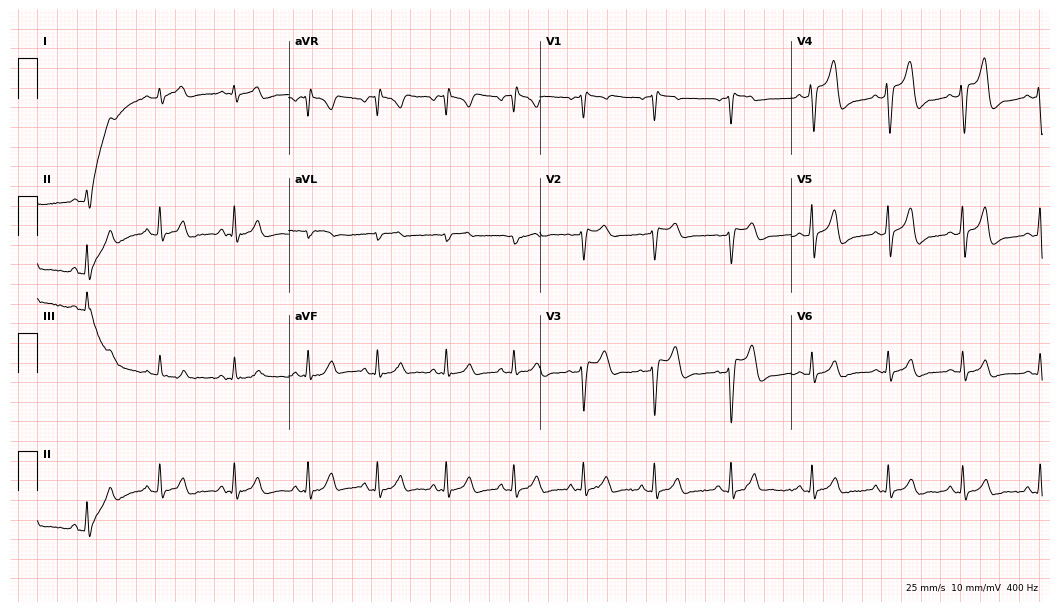
Resting 12-lead electrocardiogram. Patient: a 33-year-old male. None of these six findings is recorded: first-degree AV block, right bundle branch block, left bundle branch block, sinus bradycardia, atrial fibrillation, sinus tachycardia.